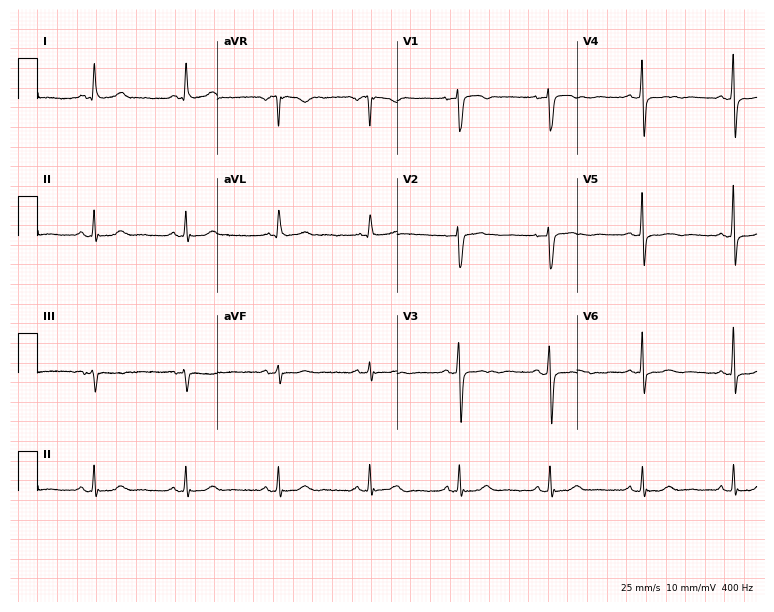
12-lead ECG (7.3-second recording at 400 Hz) from a female, 67 years old. Screened for six findings — first-degree AV block, right bundle branch block, left bundle branch block, sinus bradycardia, atrial fibrillation, sinus tachycardia — none is recorded.